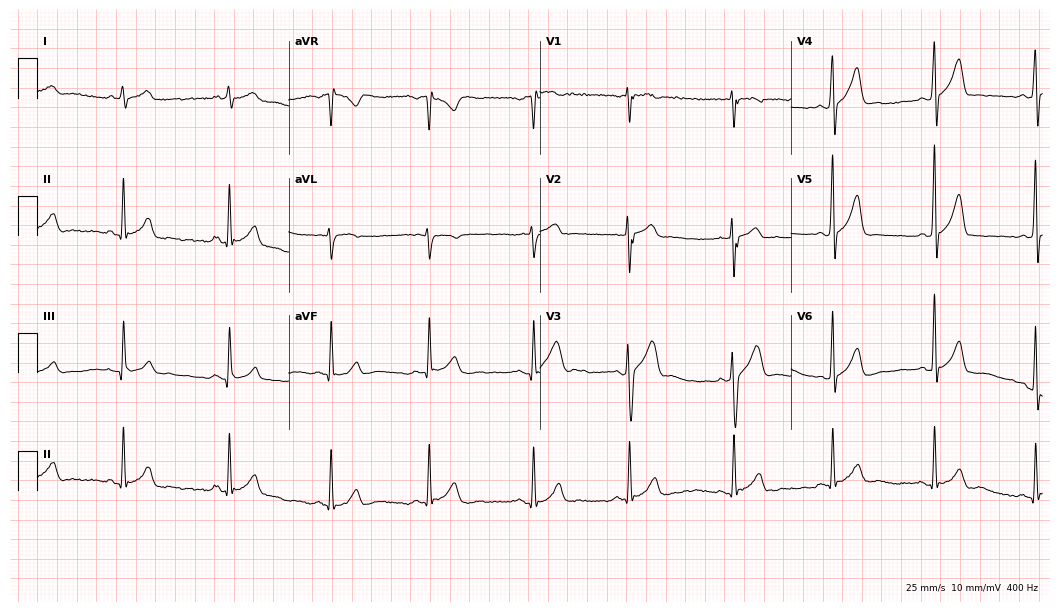
Resting 12-lead electrocardiogram (10.2-second recording at 400 Hz). Patient: a 22-year-old male. Read as a normal ECG.